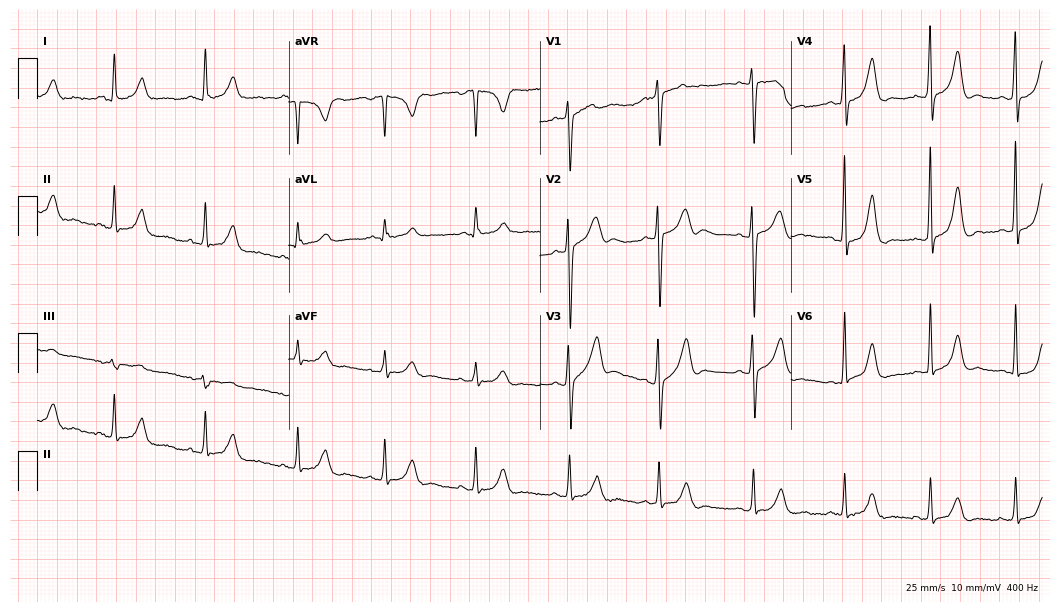
Standard 12-lead ECG recorded from a 34-year-old male. Read as a normal ECG.